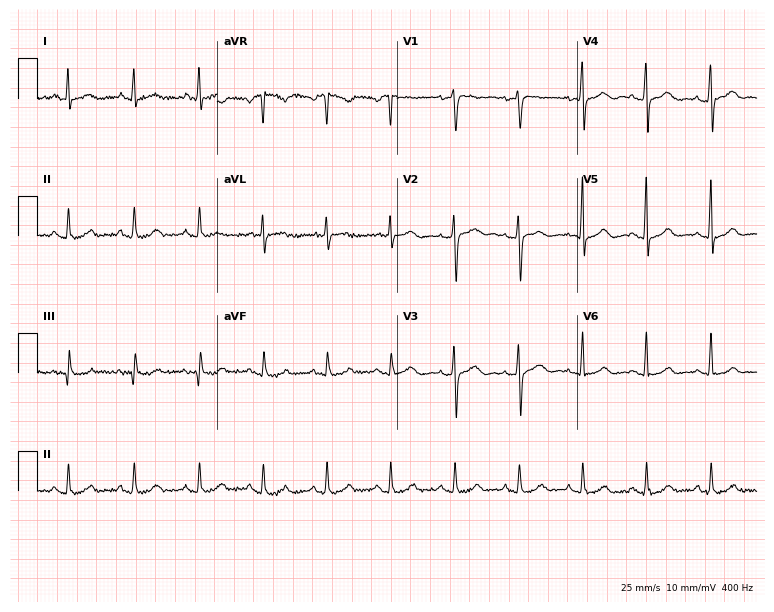
Electrocardiogram (7.3-second recording at 400 Hz), a 48-year-old female patient. Overall reading on record: normal ECG.